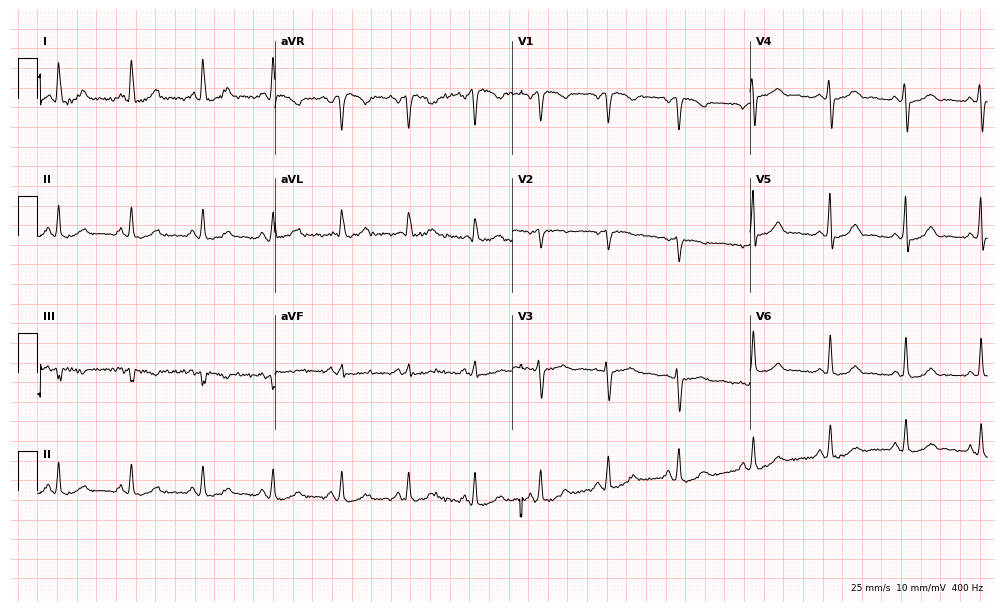
ECG — a woman, 49 years old. Screened for six findings — first-degree AV block, right bundle branch block (RBBB), left bundle branch block (LBBB), sinus bradycardia, atrial fibrillation (AF), sinus tachycardia — none is recorded.